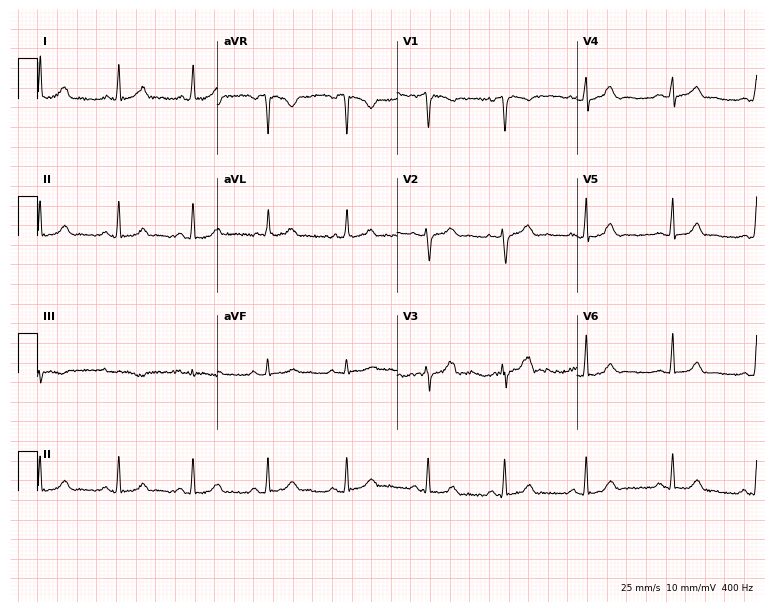
12-lead ECG from a 34-year-old female. Labelled as a normal ECG.